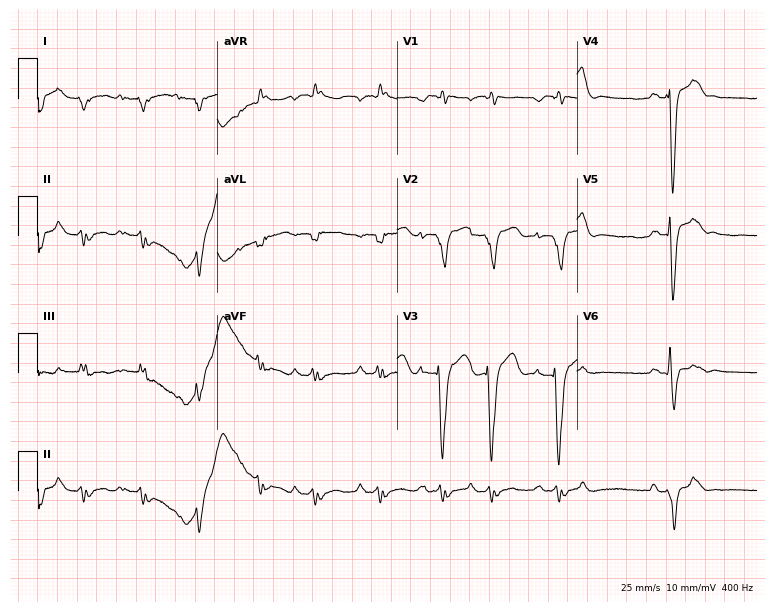
Resting 12-lead electrocardiogram (7.3-second recording at 400 Hz). Patient: a 56-year-old man. The tracing shows left bundle branch block.